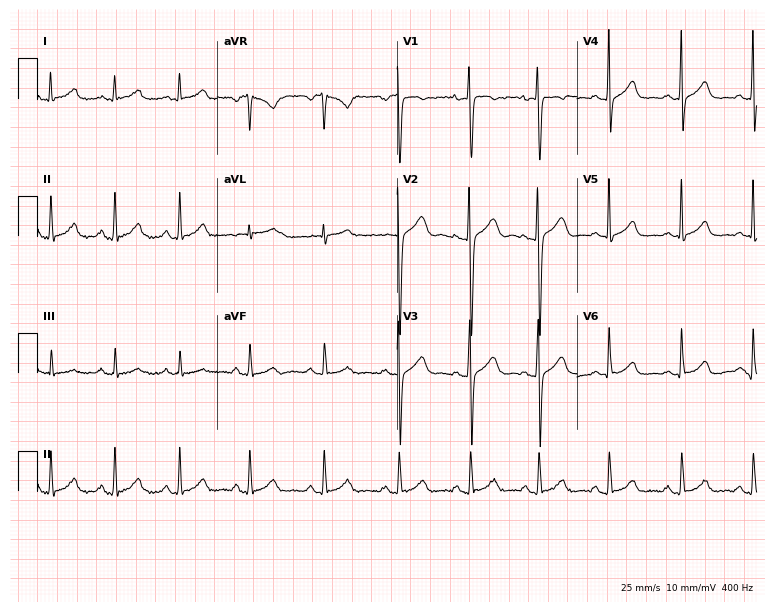
Electrocardiogram (7.3-second recording at 400 Hz), a female patient, 18 years old. Overall reading on record: normal ECG.